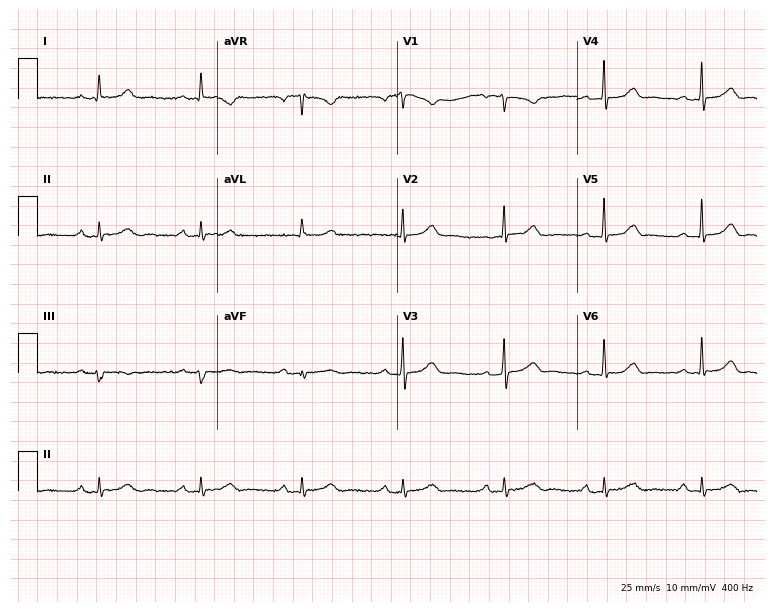
12-lead ECG from a male, 71 years old. Labelled as a normal ECG.